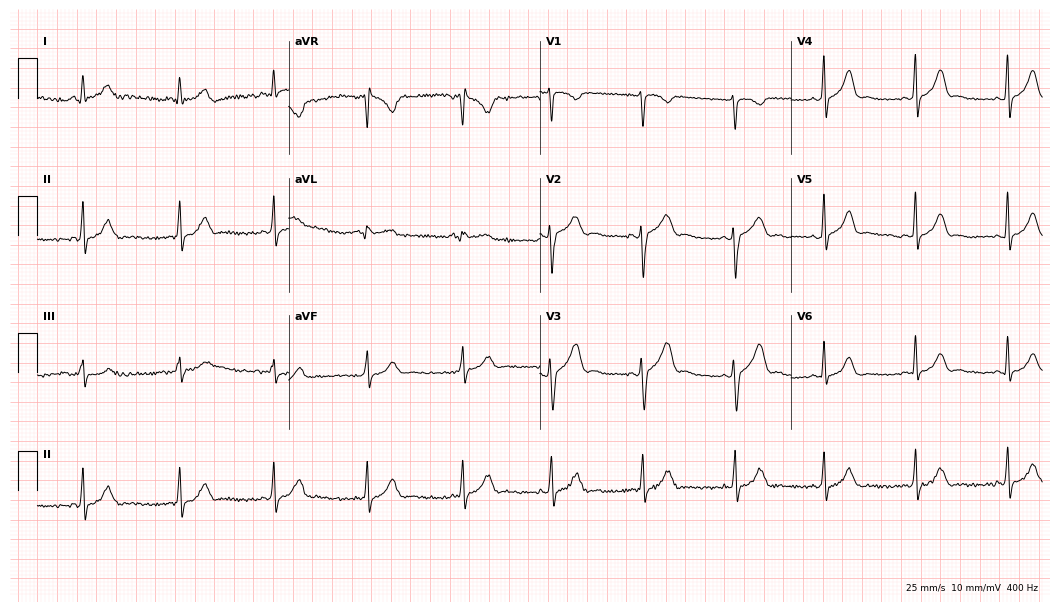
12-lead ECG from a woman, 26 years old. Labelled as a normal ECG.